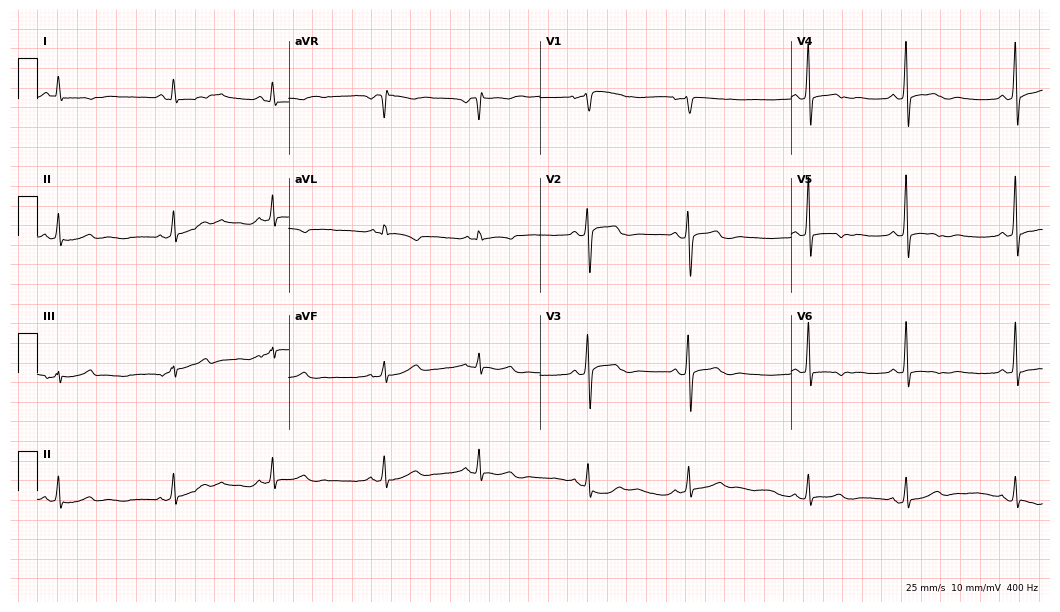
12-lead ECG from a female, 28 years old. Recorded interpretation: within normal limits.